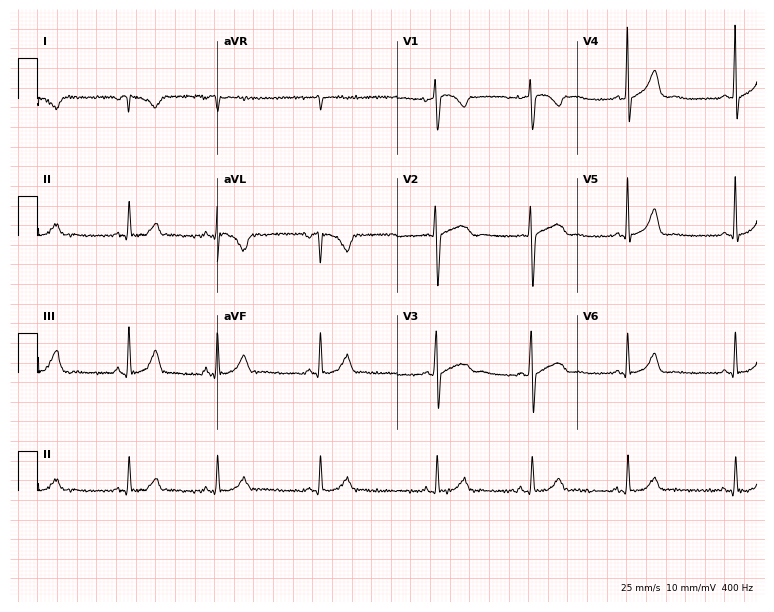
Electrocardiogram (7.3-second recording at 400 Hz), a 41-year-old female. Of the six screened findings (first-degree AV block, right bundle branch block, left bundle branch block, sinus bradycardia, atrial fibrillation, sinus tachycardia), none is recorded.